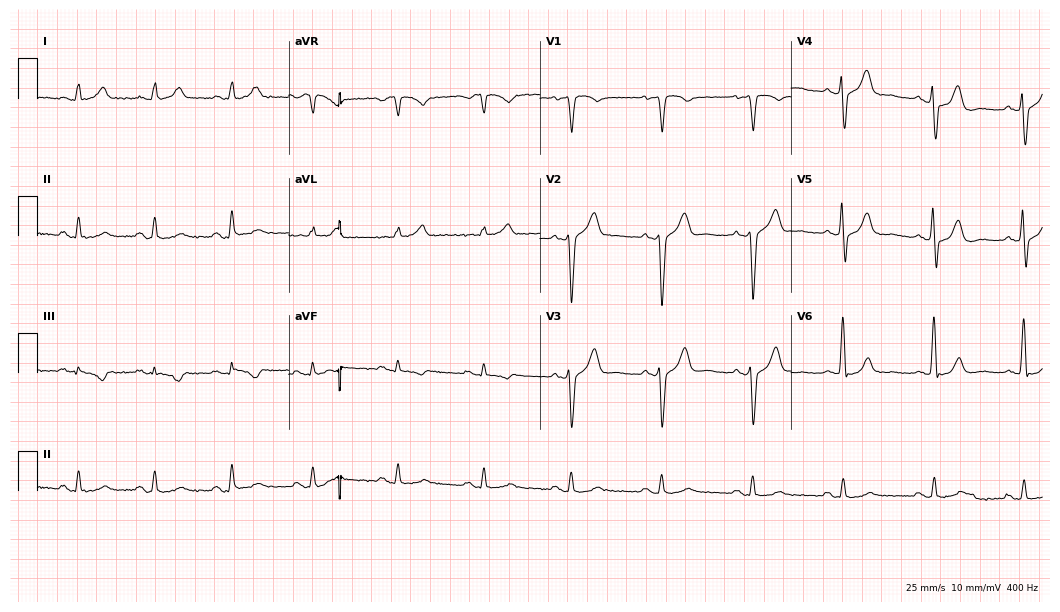
Electrocardiogram, a man, 50 years old. Of the six screened findings (first-degree AV block, right bundle branch block, left bundle branch block, sinus bradycardia, atrial fibrillation, sinus tachycardia), none is recorded.